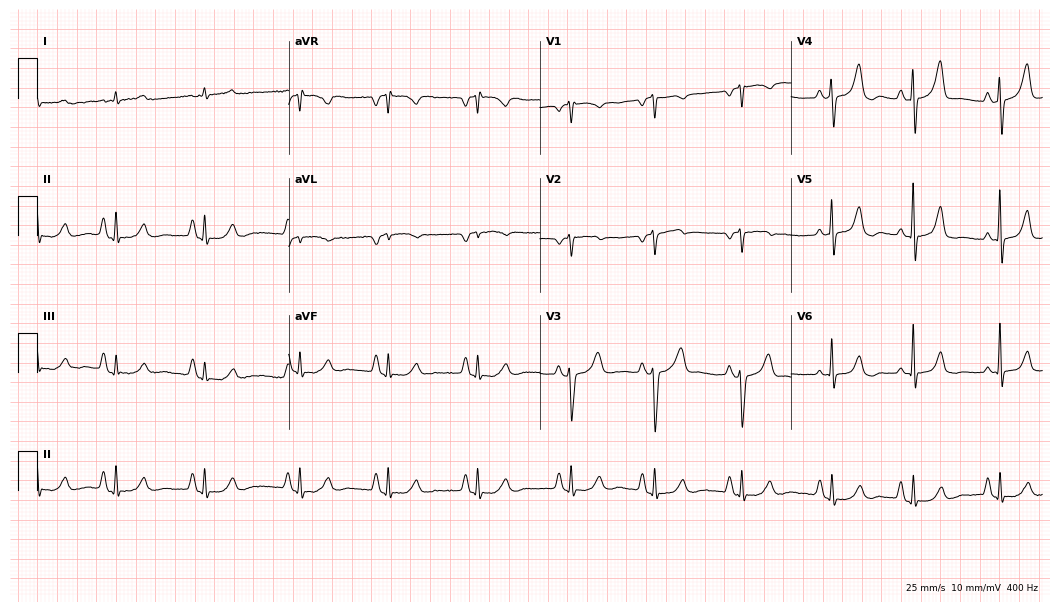
ECG (10.2-second recording at 400 Hz) — a 73-year-old man. Screened for six findings — first-degree AV block, right bundle branch block, left bundle branch block, sinus bradycardia, atrial fibrillation, sinus tachycardia — none is recorded.